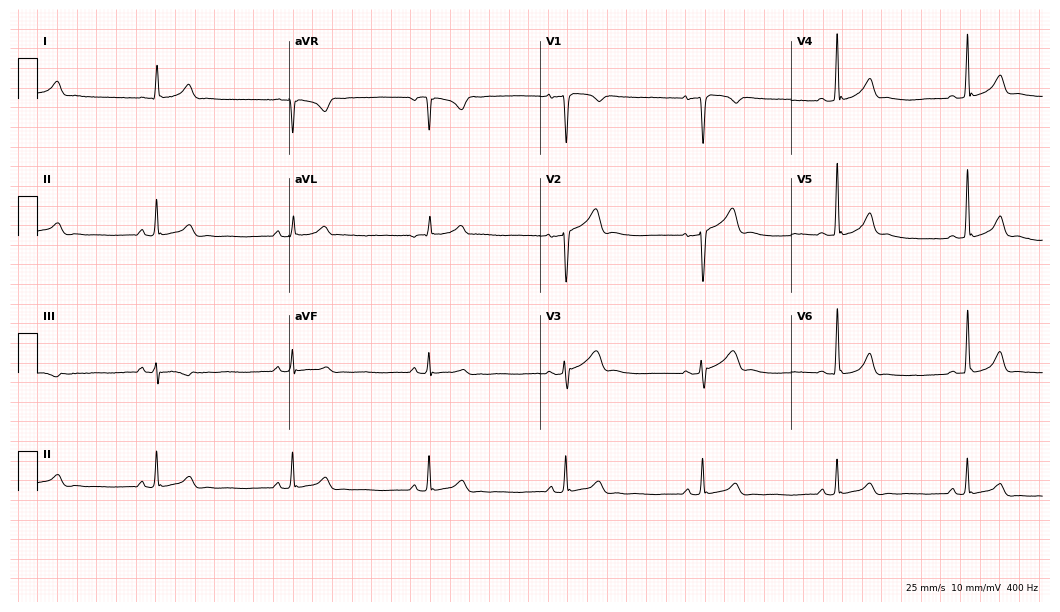
Resting 12-lead electrocardiogram. Patient: a man, 24 years old. The tracing shows sinus bradycardia (a sinus rate of 50 beats per minute or less).